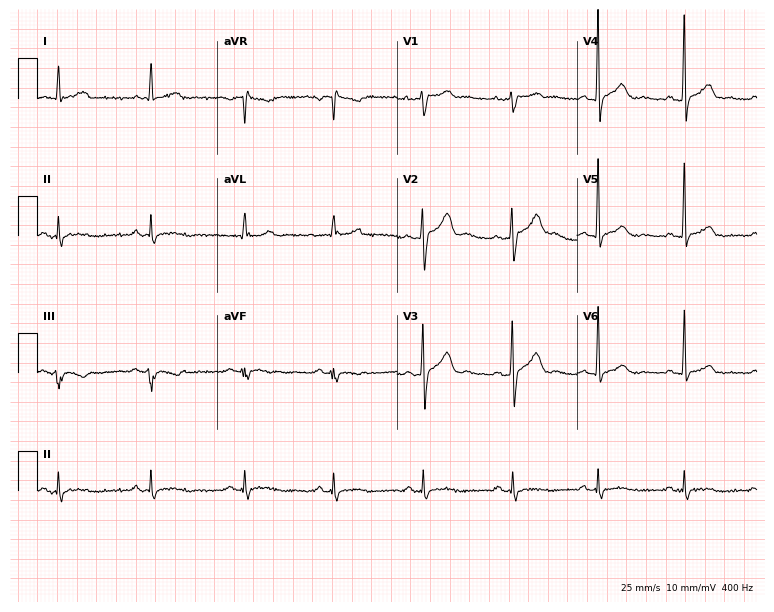
12-lead ECG from a man, 41 years old (7.3-second recording at 400 Hz). No first-degree AV block, right bundle branch block (RBBB), left bundle branch block (LBBB), sinus bradycardia, atrial fibrillation (AF) or sinus tachycardia recorded for this tracing. Other findings, if any, are not listed.